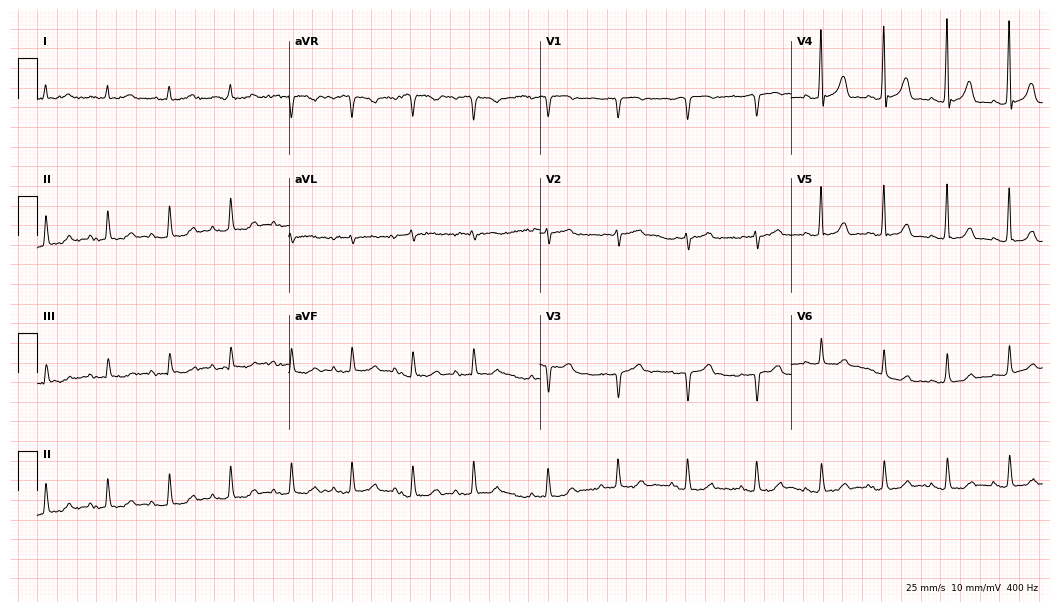
Standard 12-lead ECG recorded from a male patient, 84 years old. None of these six findings is recorded: first-degree AV block, right bundle branch block, left bundle branch block, sinus bradycardia, atrial fibrillation, sinus tachycardia. Findings outside these six are not listed.